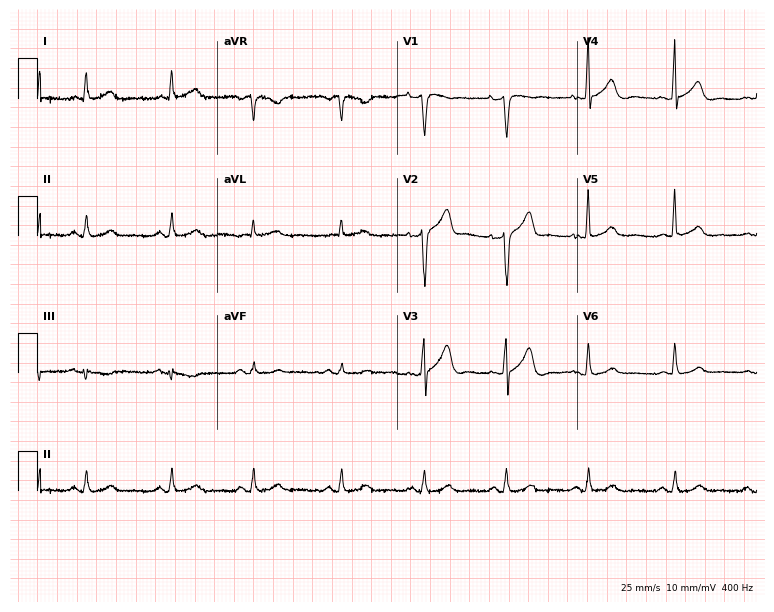
Standard 12-lead ECG recorded from a 63-year-old male. Read as a normal ECG.